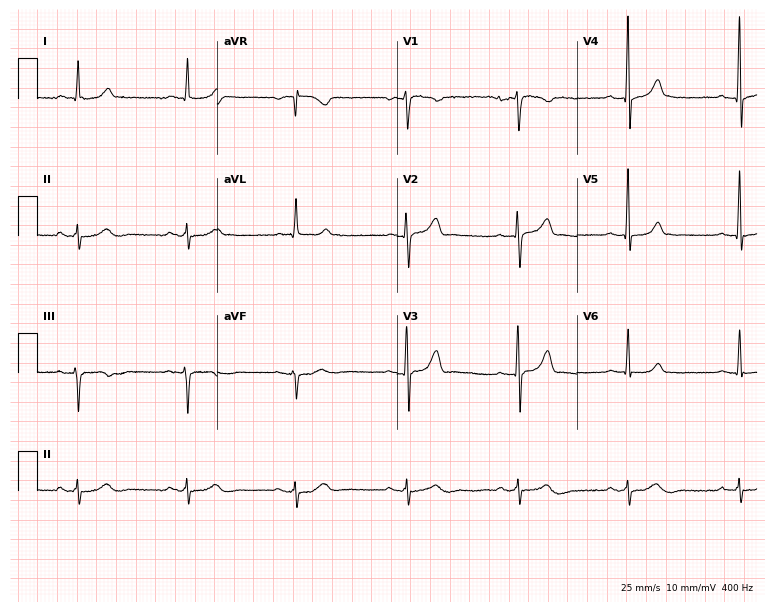
Resting 12-lead electrocardiogram. Patient: a man, 56 years old. None of these six findings is recorded: first-degree AV block, right bundle branch block, left bundle branch block, sinus bradycardia, atrial fibrillation, sinus tachycardia. Only these six findings were labelled.